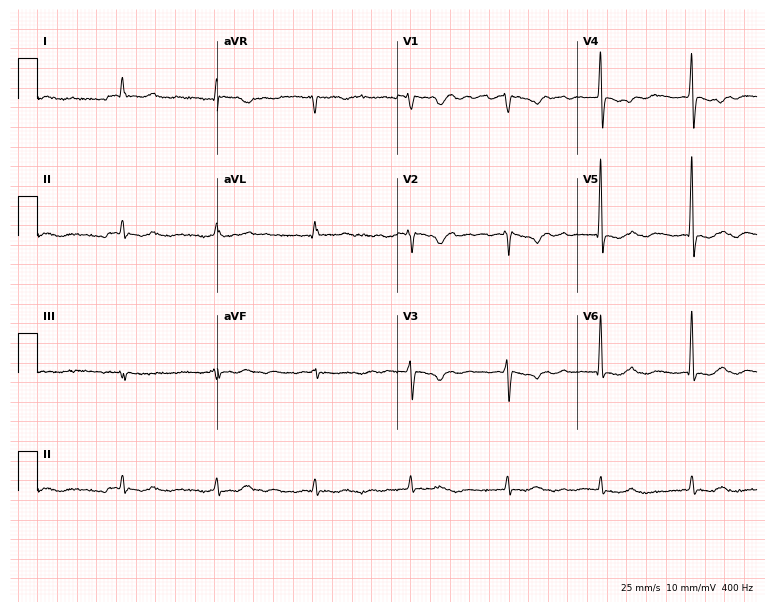
Standard 12-lead ECG recorded from a 79-year-old female (7.3-second recording at 400 Hz). The tracing shows atrial fibrillation (AF).